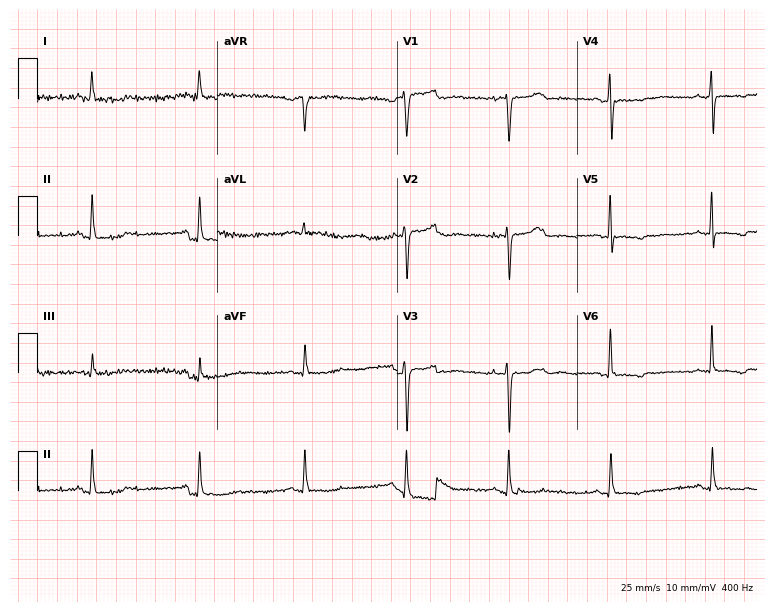
12-lead ECG from a female, 85 years old. No first-degree AV block, right bundle branch block (RBBB), left bundle branch block (LBBB), sinus bradycardia, atrial fibrillation (AF) or sinus tachycardia recorded for this tracing. Only these six findings were labelled.